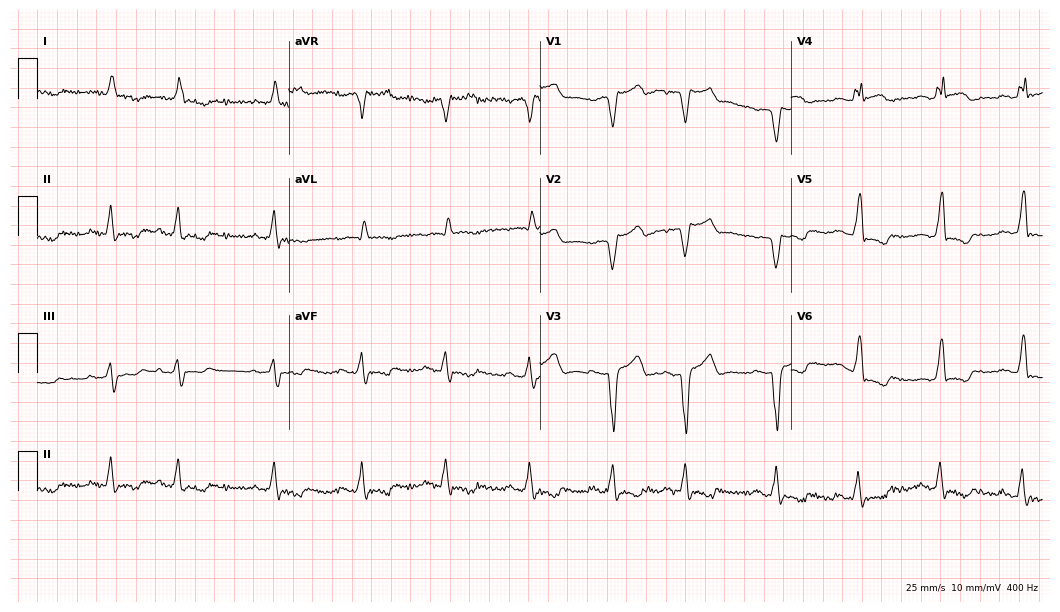
12-lead ECG from an 82-year-old female patient. No first-degree AV block, right bundle branch block (RBBB), left bundle branch block (LBBB), sinus bradycardia, atrial fibrillation (AF) or sinus tachycardia recorded for this tracing.